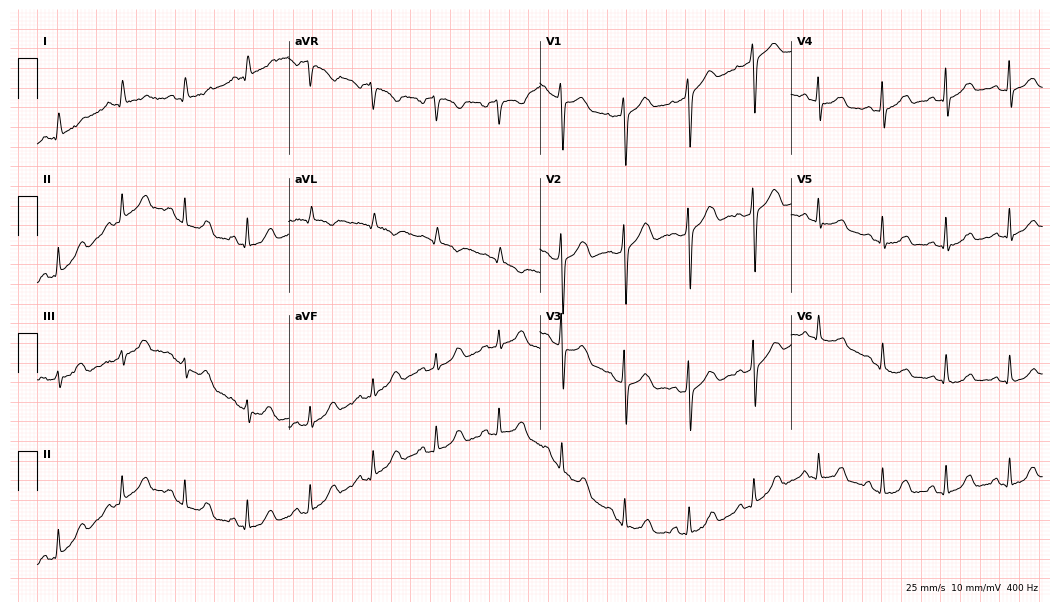
12-lead ECG from a female patient, 51 years old. Recorded interpretation: within normal limits.